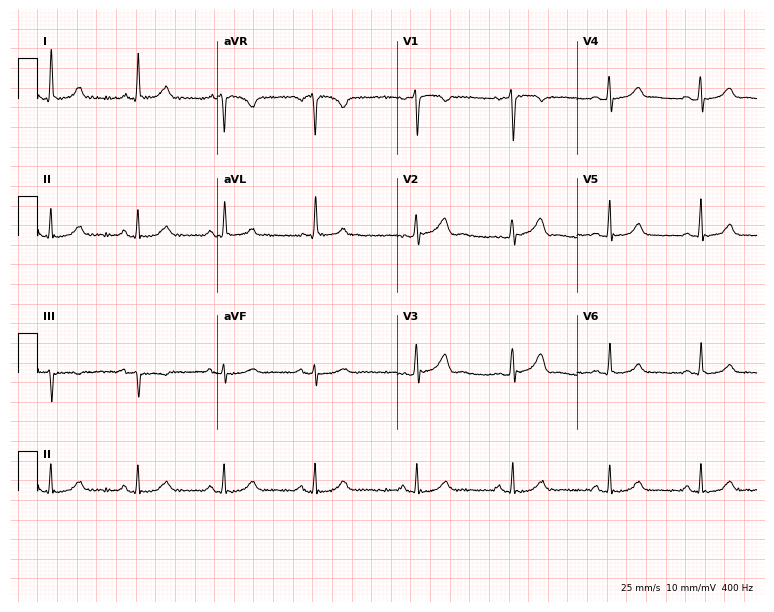
Electrocardiogram (7.3-second recording at 400 Hz), a 46-year-old female. Overall reading on record: normal ECG.